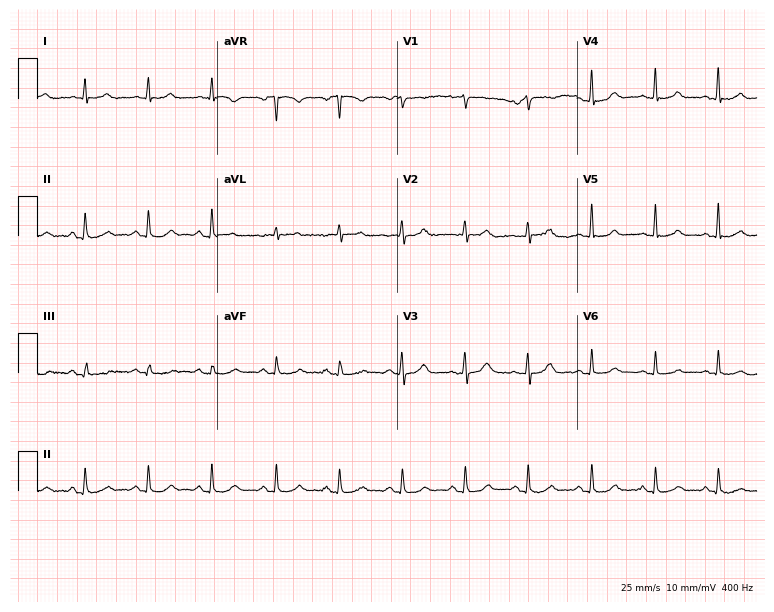
Resting 12-lead electrocardiogram (7.3-second recording at 400 Hz). Patient: a woman, 60 years old. Read as a normal ECG.